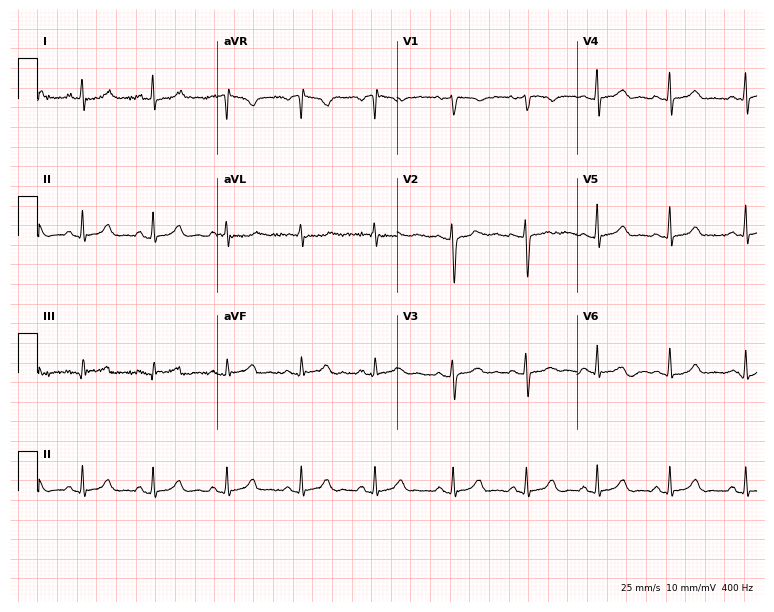
Standard 12-lead ECG recorded from a female patient, 32 years old (7.3-second recording at 400 Hz). Read as a normal ECG.